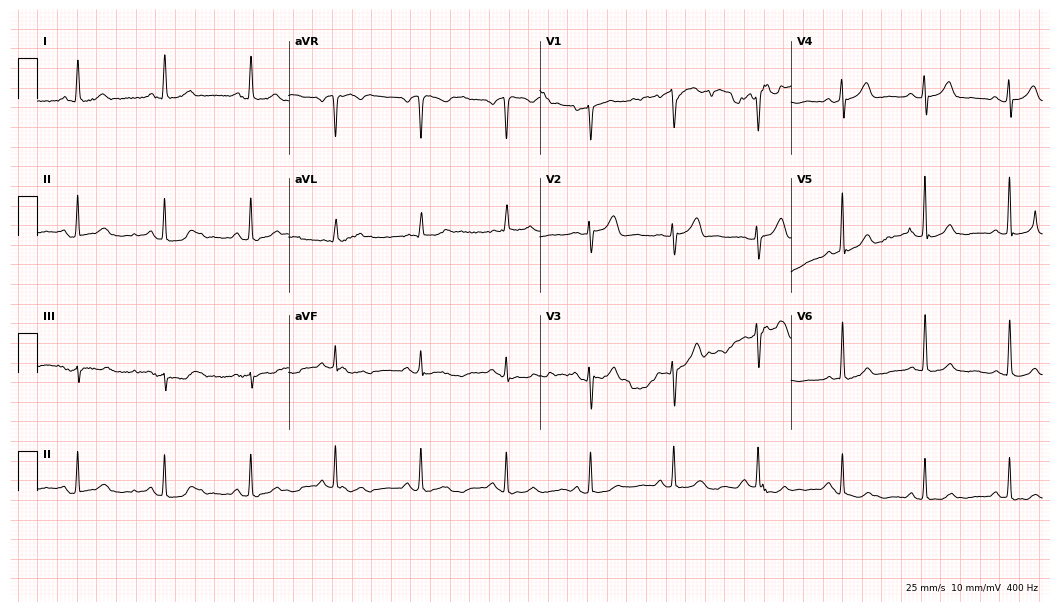
Standard 12-lead ECG recorded from a 73-year-old woman. Read as a normal ECG.